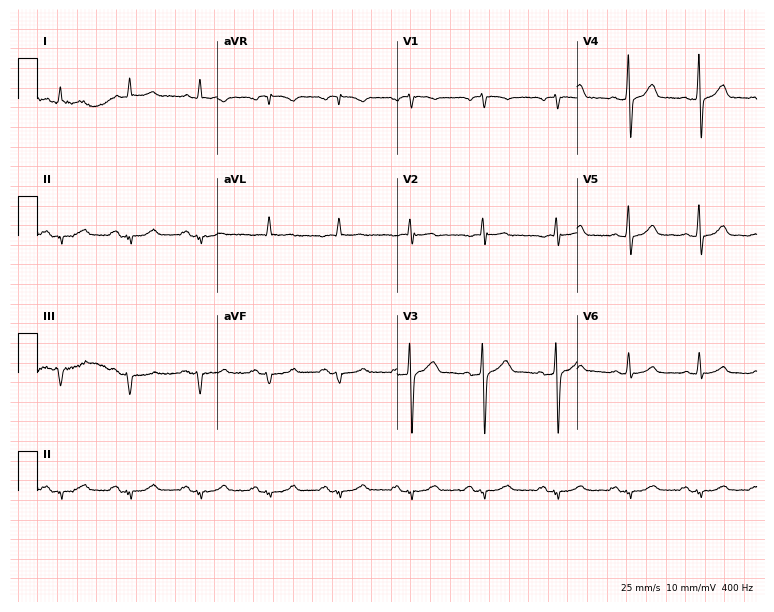
Standard 12-lead ECG recorded from a 68-year-old male. None of these six findings is recorded: first-degree AV block, right bundle branch block, left bundle branch block, sinus bradycardia, atrial fibrillation, sinus tachycardia. Findings outside these six are not listed.